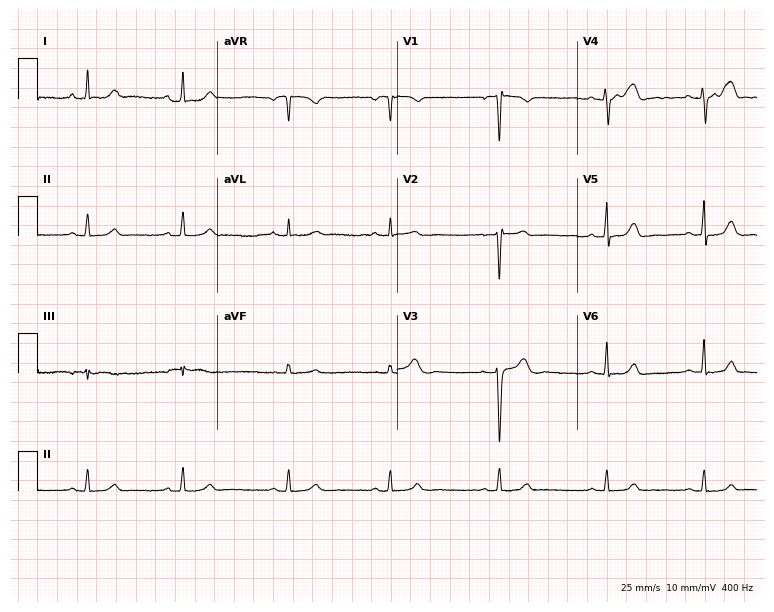
12-lead ECG from a 28-year-old woman (7.3-second recording at 400 Hz). No first-degree AV block, right bundle branch block, left bundle branch block, sinus bradycardia, atrial fibrillation or sinus tachycardia recorded for this tracing. Other findings, if any, are not listed.